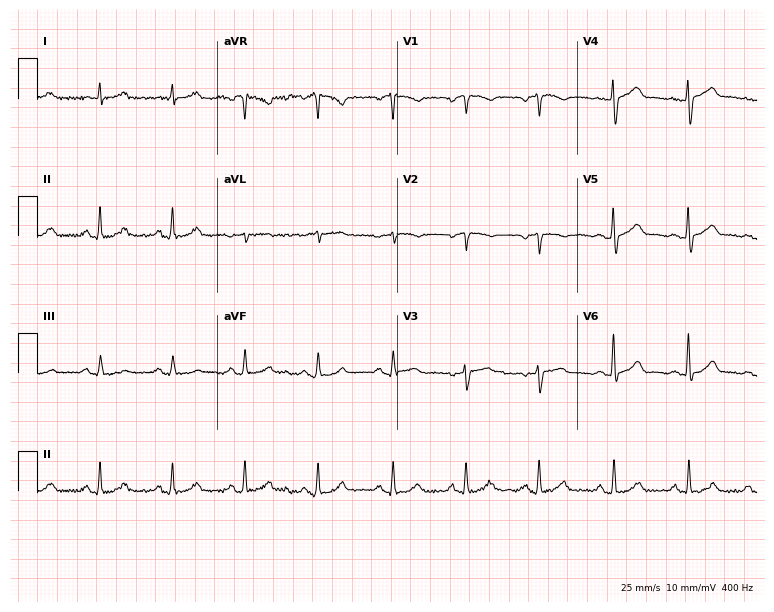
12-lead ECG from a male patient, 53 years old (7.3-second recording at 400 Hz). No first-degree AV block, right bundle branch block, left bundle branch block, sinus bradycardia, atrial fibrillation or sinus tachycardia recorded for this tracing. Only these six findings were labelled.